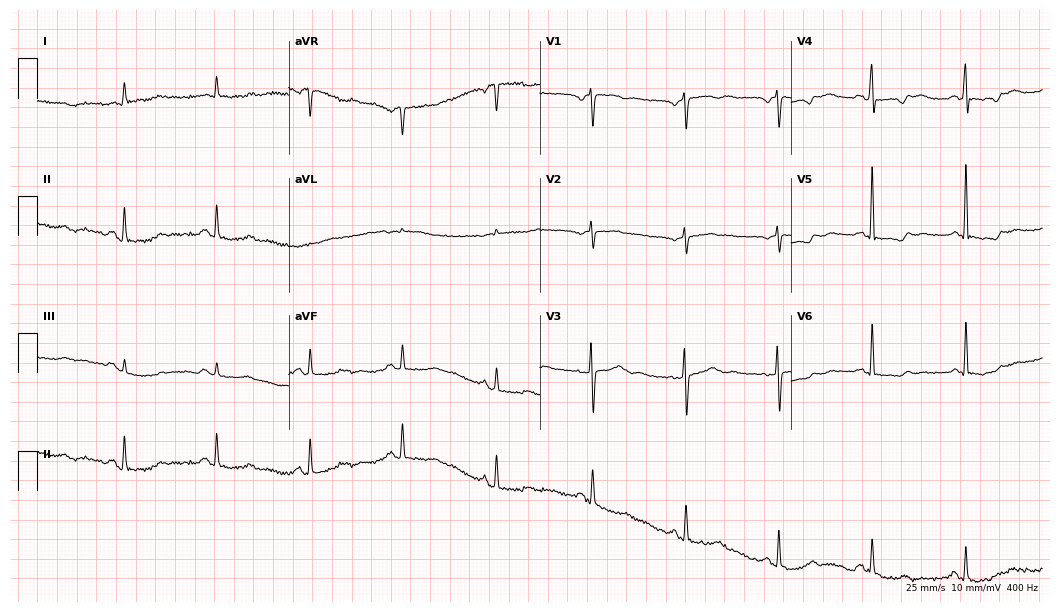
Resting 12-lead electrocardiogram (10.2-second recording at 400 Hz). Patient: a 67-year-old female. None of these six findings is recorded: first-degree AV block, right bundle branch block (RBBB), left bundle branch block (LBBB), sinus bradycardia, atrial fibrillation (AF), sinus tachycardia.